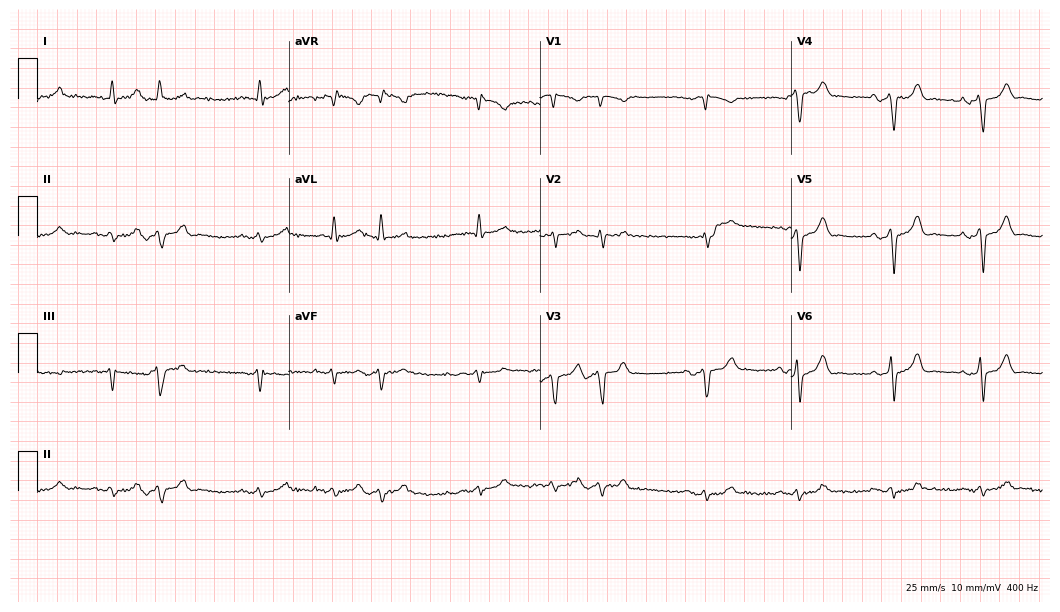
Electrocardiogram, an 84-year-old female. Of the six screened findings (first-degree AV block, right bundle branch block (RBBB), left bundle branch block (LBBB), sinus bradycardia, atrial fibrillation (AF), sinus tachycardia), none is recorded. Findings outside these six are not listed.